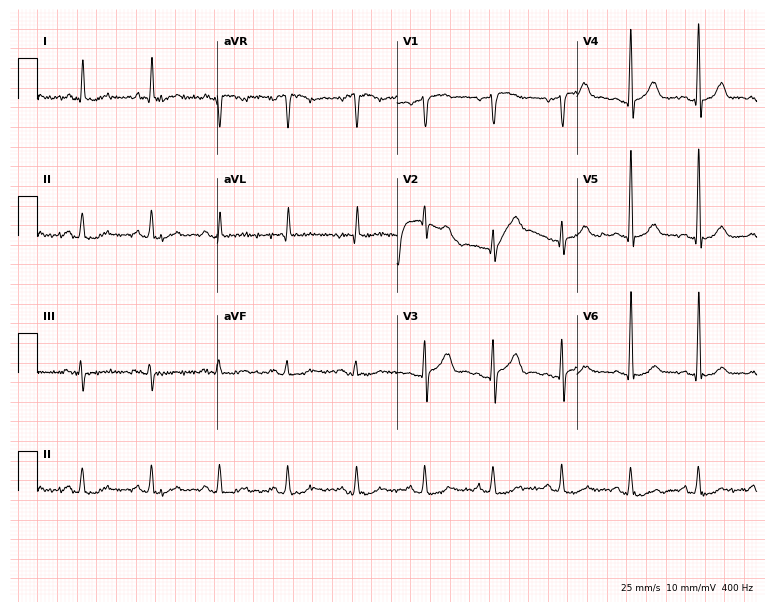
Resting 12-lead electrocardiogram. Patient: a 55-year-old male. None of these six findings is recorded: first-degree AV block, right bundle branch block, left bundle branch block, sinus bradycardia, atrial fibrillation, sinus tachycardia.